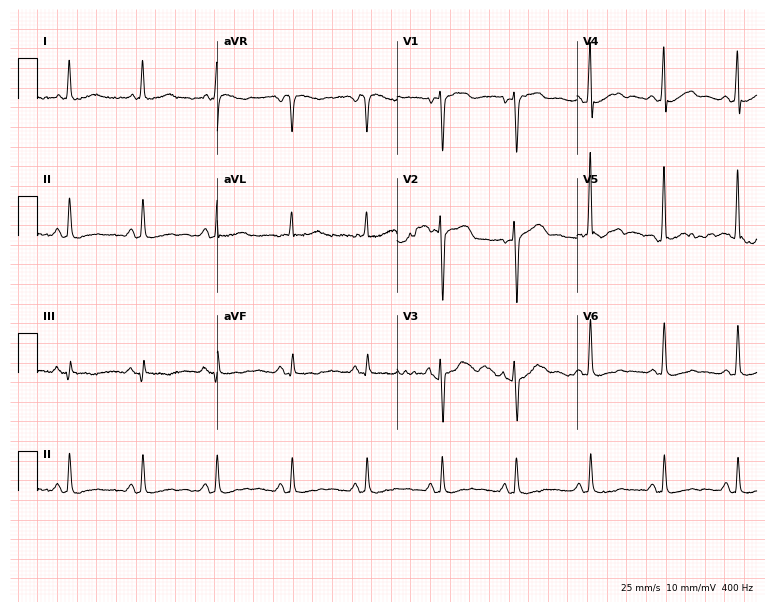
Resting 12-lead electrocardiogram. Patient: a 50-year-old woman. None of these six findings is recorded: first-degree AV block, right bundle branch block, left bundle branch block, sinus bradycardia, atrial fibrillation, sinus tachycardia.